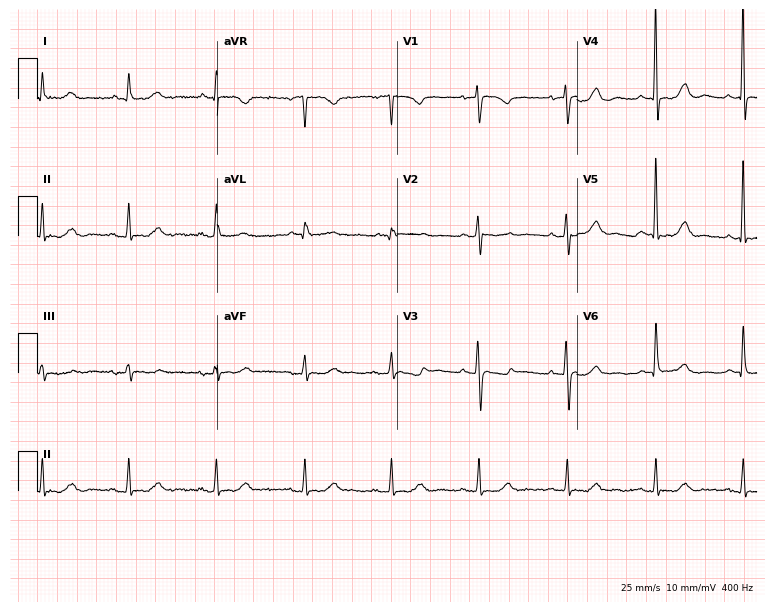
Resting 12-lead electrocardiogram (7.3-second recording at 400 Hz). Patient: a female, 72 years old. Read as a normal ECG.